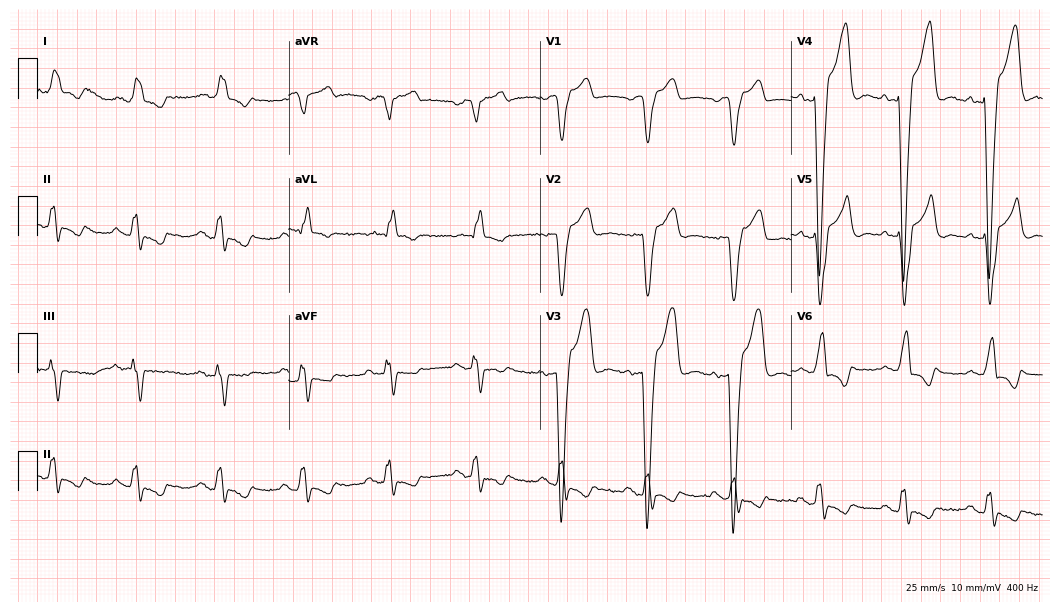
12-lead ECG from a male, 73 years old (10.2-second recording at 400 Hz). Shows left bundle branch block (LBBB).